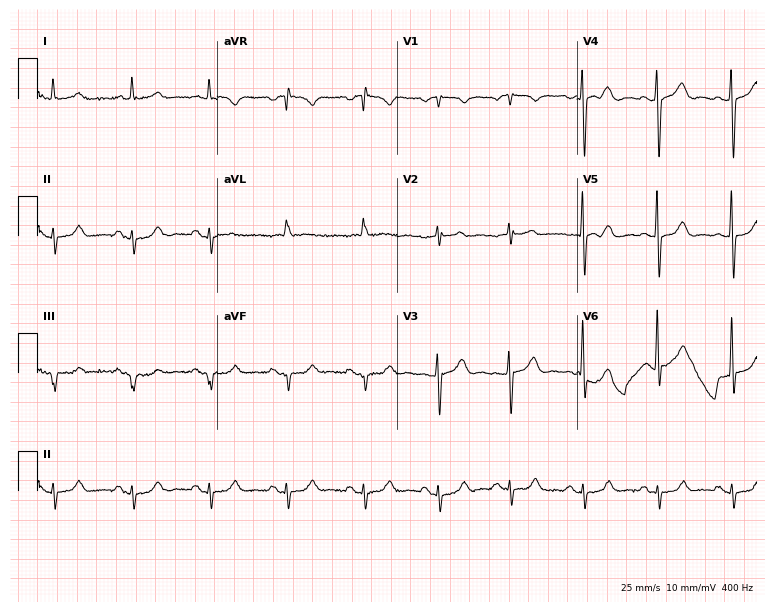
12-lead ECG from an 84-year-old male patient (7.3-second recording at 400 Hz). No first-degree AV block, right bundle branch block, left bundle branch block, sinus bradycardia, atrial fibrillation or sinus tachycardia recorded for this tracing.